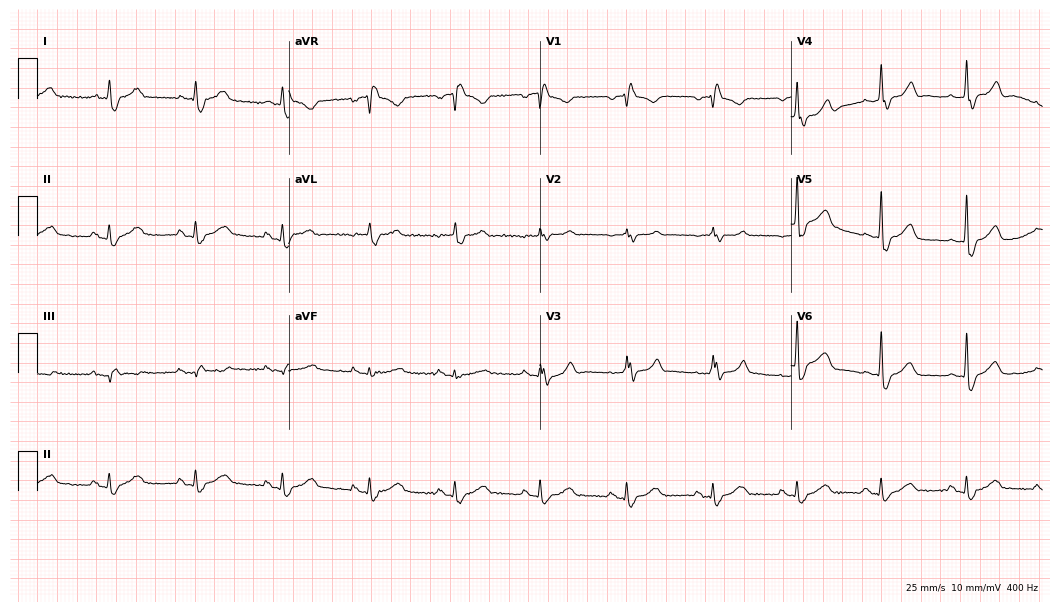
Standard 12-lead ECG recorded from a male patient, 71 years old. The tracing shows right bundle branch block.